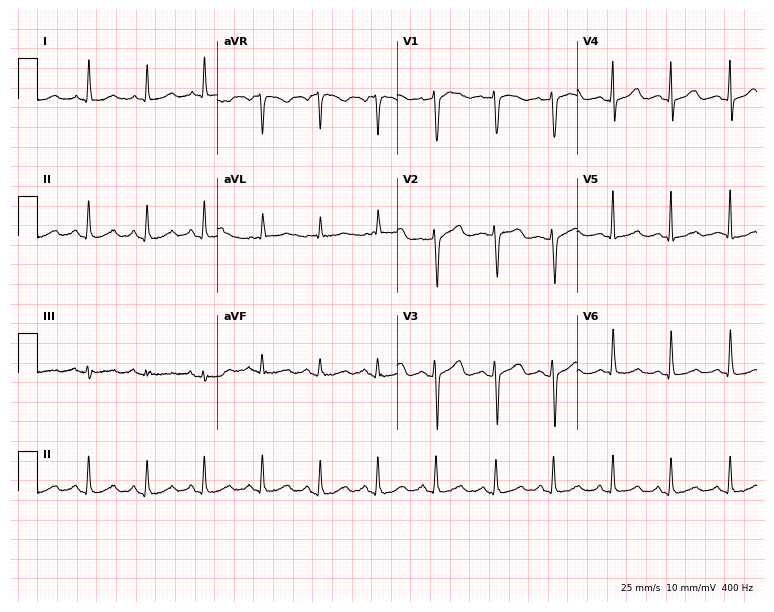
12-lead ECG from a 60-year-old female patient (7.3-second recording at 400 Hz). No first-degree AV block, right bundle branch block, left bundle branch block, sinus bradycardia, atrial fibrillation or sinus tachycardia recorded for this tracing. Only these six findings were labelled.